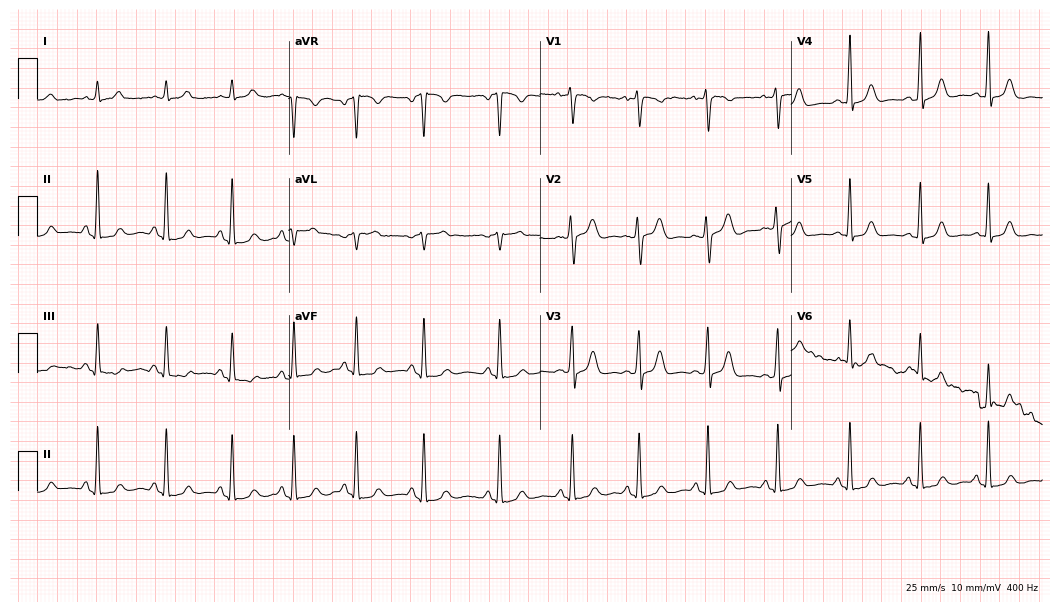
ECG — a female patient, 27 years old. Labelled as a normal ECG.